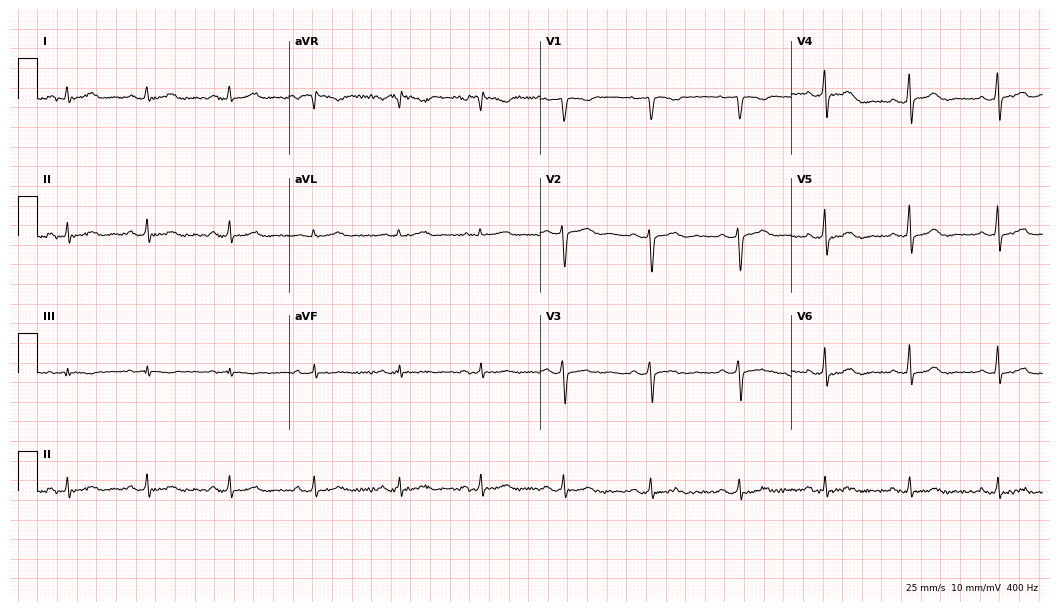
12-lead ECG (10.2-second recording at 400 Hz) from a 43-year-old female. Labelled as a normal ECG.